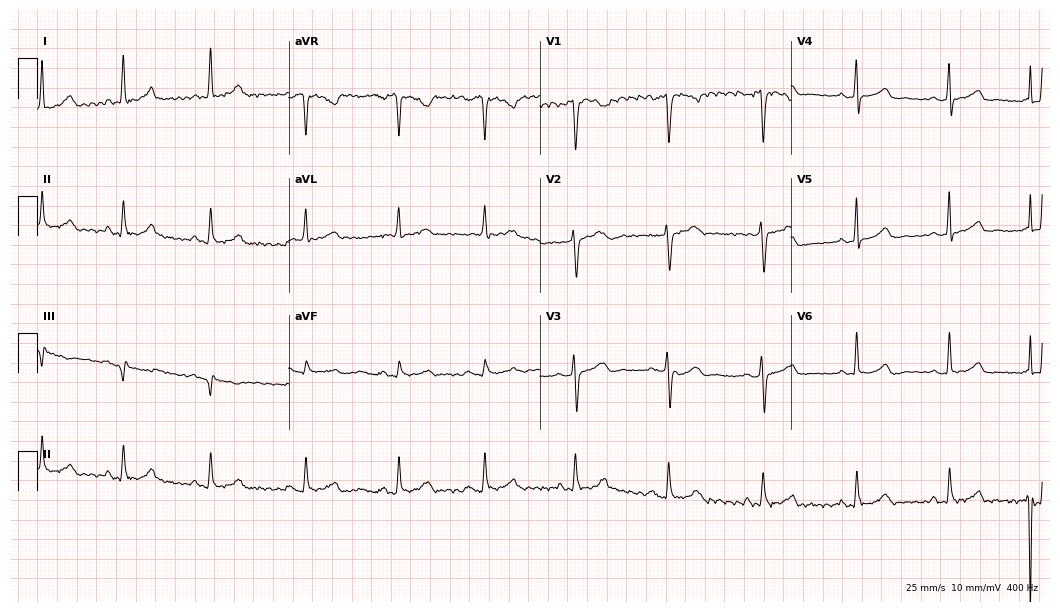
Standard 12-lead ECG recorded from a woman, 43 years old. None of these six findings is recorded: first-degree AV block, right bundle branch block, left bundle branch block, sinus bradycardia, atrial fibrillation, sinus tachycardia.